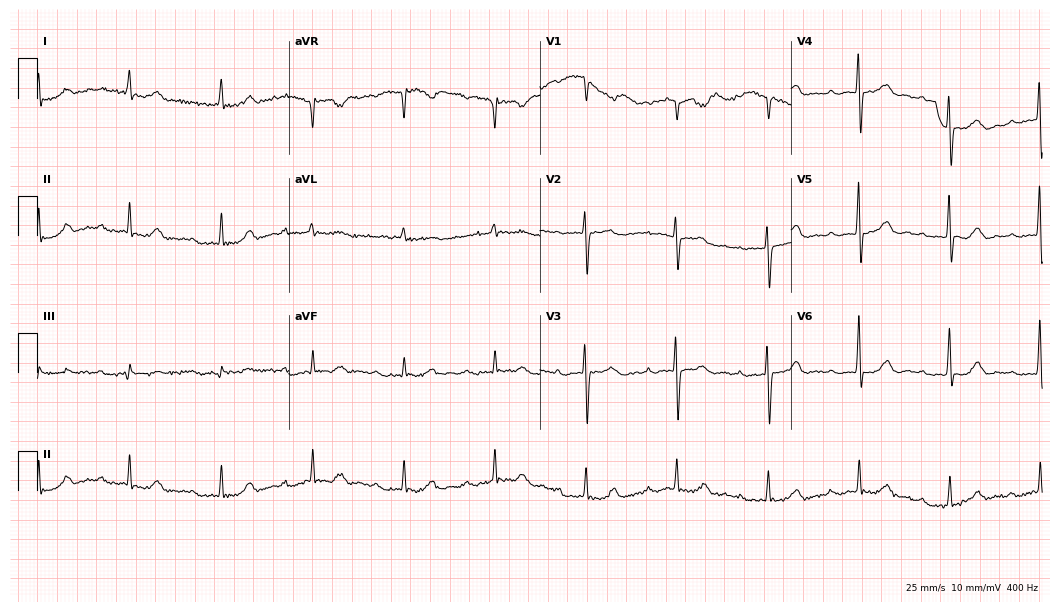
Resting 12-lead electrocardiogram (10.2-second recording at 400 Hz). Patient: a 78-year-old man. The tracing shows first-degree AV block.